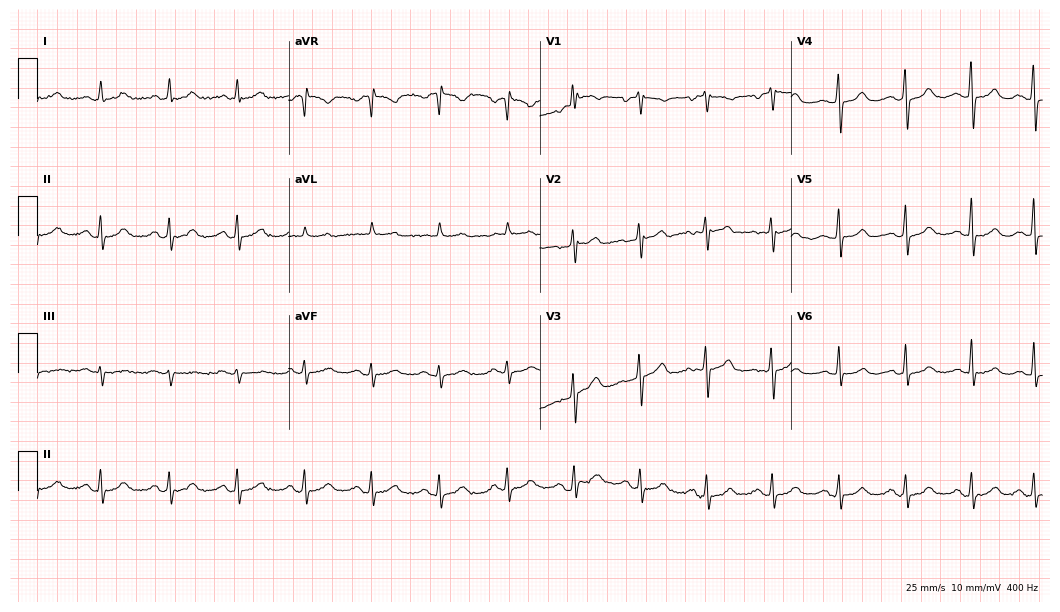
Electrocardiogram, a 70-year-old woman. Of the six screened findings (first-degree AV block, right bundle branch block, left bundle branch block, sinus bradycardia, atrial fibrillation, sinus tachycardia), none is recorded. Only these six findings were labelled.